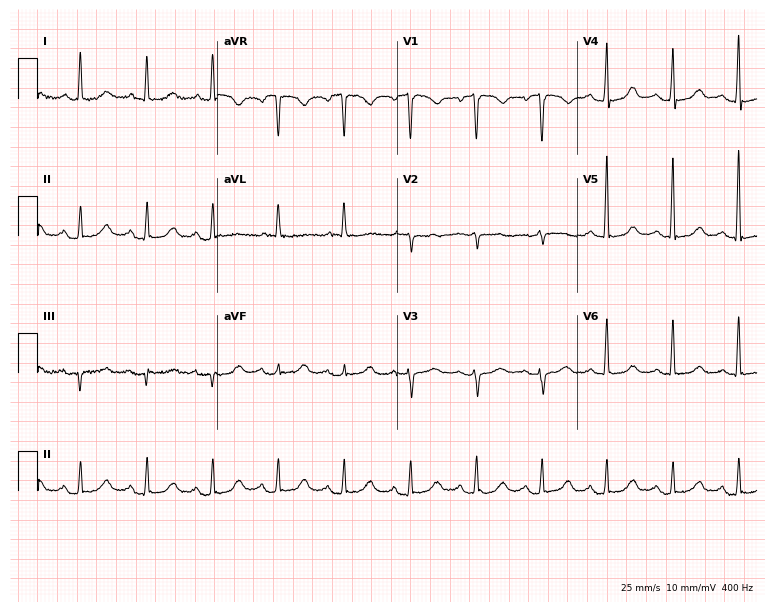
12-lead ECG from a 73-year-old female patient. Recorded interpretation: within normal limits.